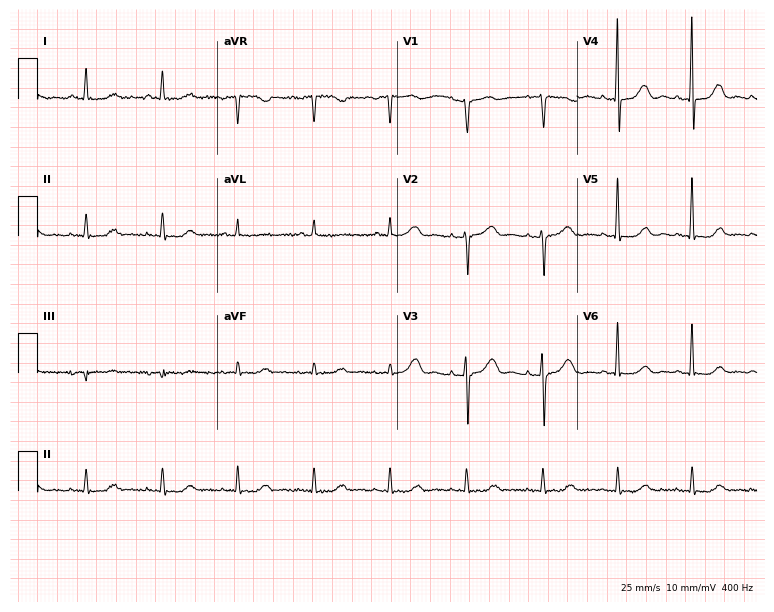
Resting 12-lead electrocardiogram. Patient: a female, 70 years old. None of these six findings is recorded: first-degree AV block, right bundle branch block, left bundle branch block, sinus bradycardia, atrial fibrillation, sinus tachycardia.